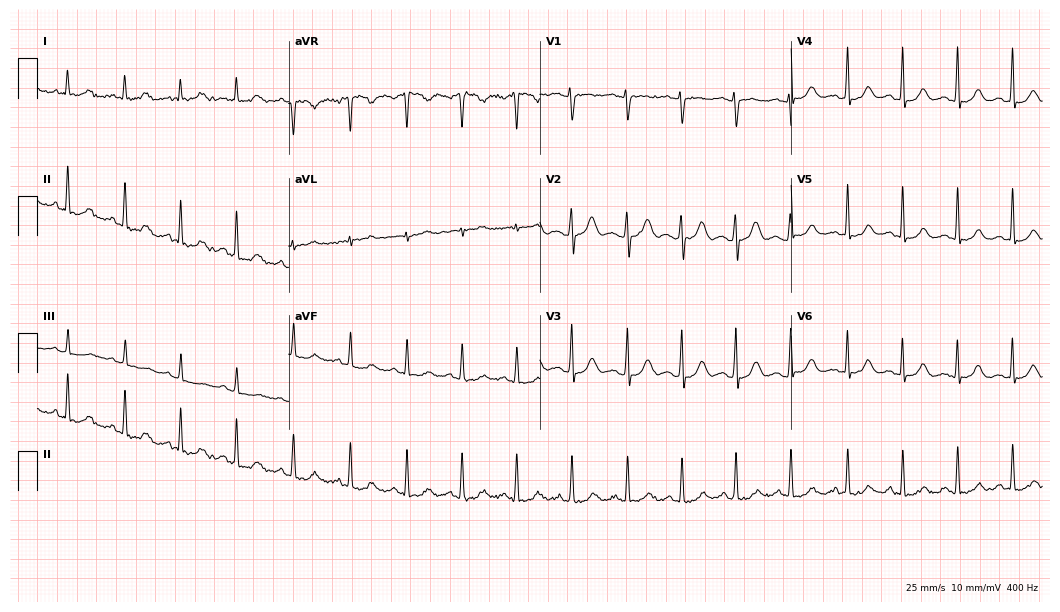
Resting 12-lead electrocardiogram (10.2-second recording at 400 Hz). Patient: a female, 27 years old. The tracing shows sinus tachycardia (a sinus rate of 100 beats per minute or more).